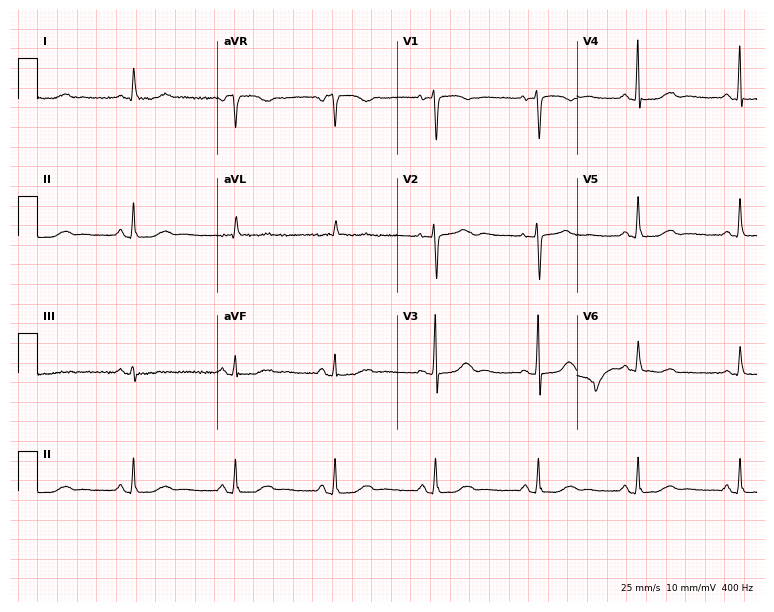
12-lead ECG (7.3-second recording at 400 Hz) from a female patient, 71 years old. Screened for six findings — first-degree AV block, right bundle branch block, left bundle branch block, sinus bradycardia, atrial fibrillation, sinus tachycardia — none is recorded. Other findings, if any, are not listed.